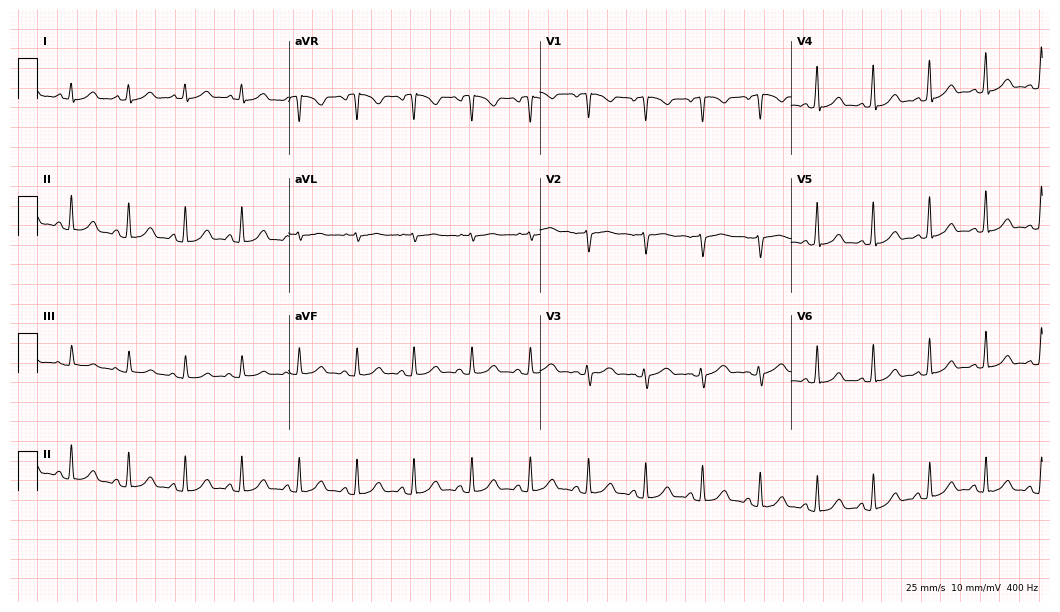
Resting 12-lead electrocardiogram (10.2-second recording at 400 Hz). Patient: a 36-year-old woman. Read as a normal ECG.